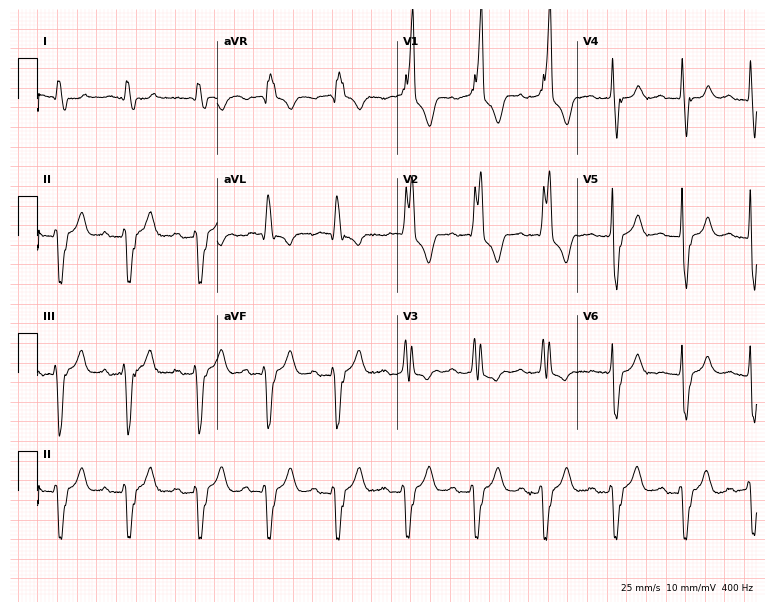
Resting 12-lead electrocardiogram (7.3-second recording at 400 Hz). Patient: an 83-year-old man. The tracing shows right bundle branch block.